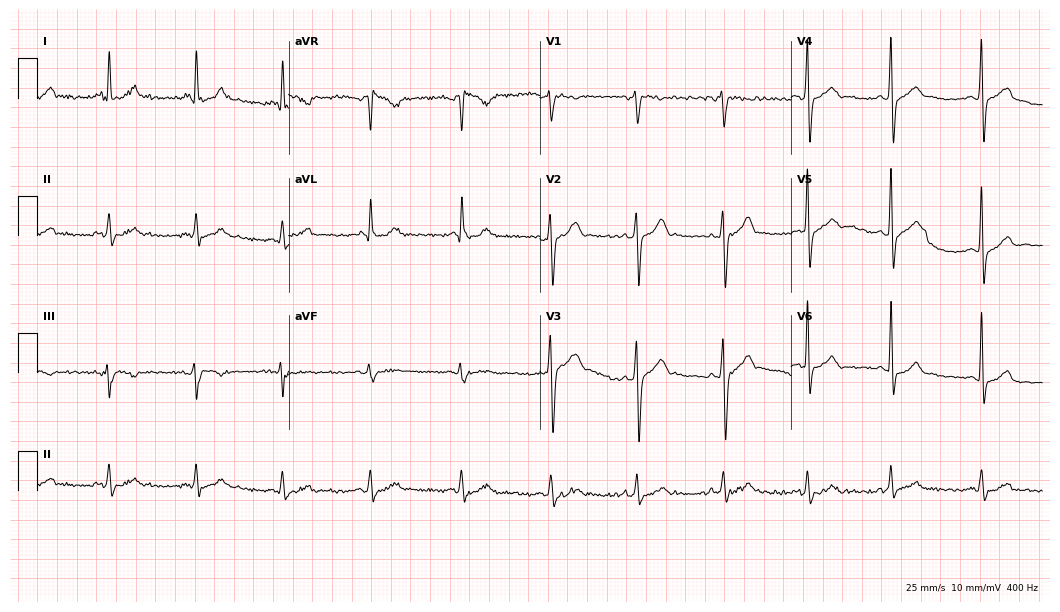
Resting 12-lead electrocardiogram. Patient: a 50-year-old male. Read as a normal ECG.